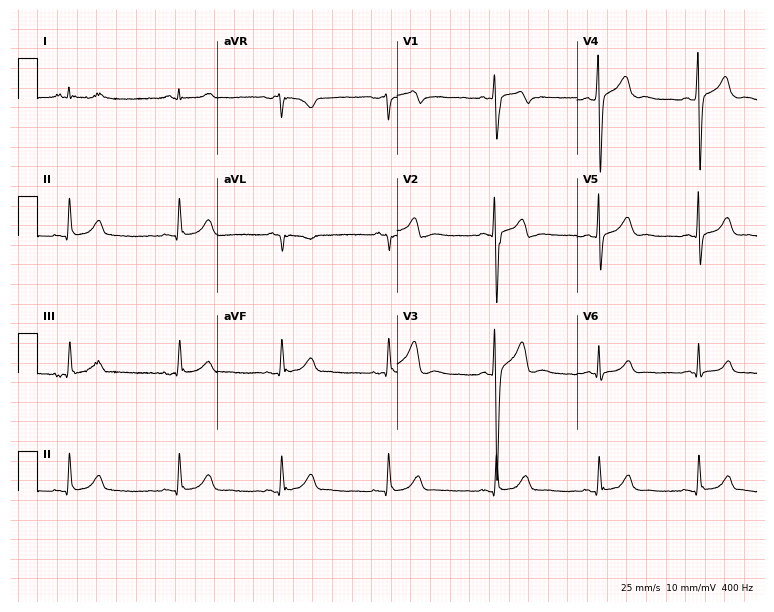
Standard 12-lead ECG recorded from a 23-year-old male patient (7.3-second recording at 400 Hz). None of these six findings is recorded: first-degree AV block, right bundle branch block, left bundle branch block, sinus bradycardia, atrial fibrillation, sinus tachycardia.